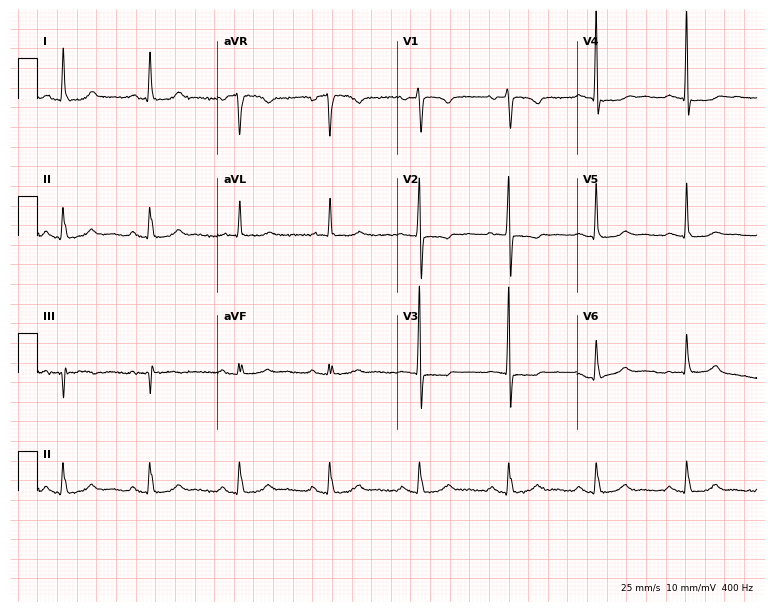
Electrocardiogram, a 73-year-old female. Of the six screened findings (first-degree AV block, right bundle branch block (RBBB), left bundle branch block (LBBB), sinus bradycardia, atrial fibrillation (AF), sinus tachycardia), none is recorded. Other findings, if any, are not listed.